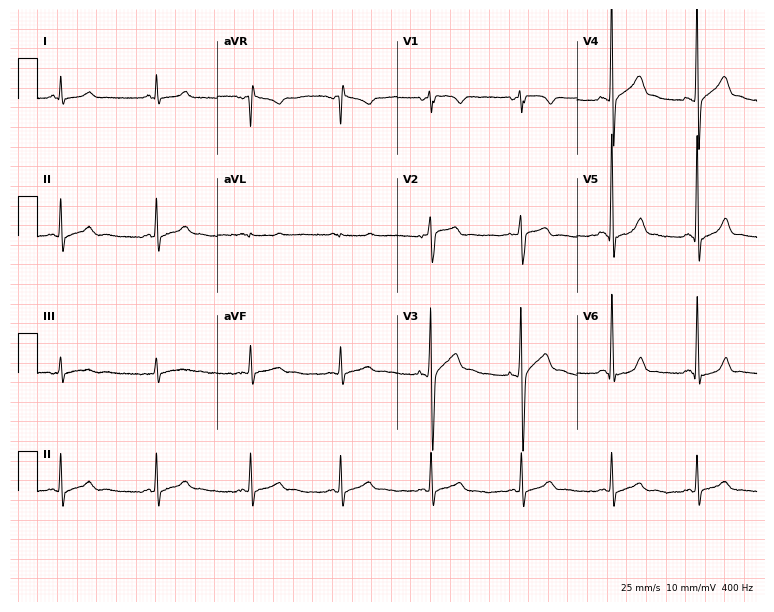
Electrocardiogram, a 42-year-old male patient. Overall reading on record: normal ECG.